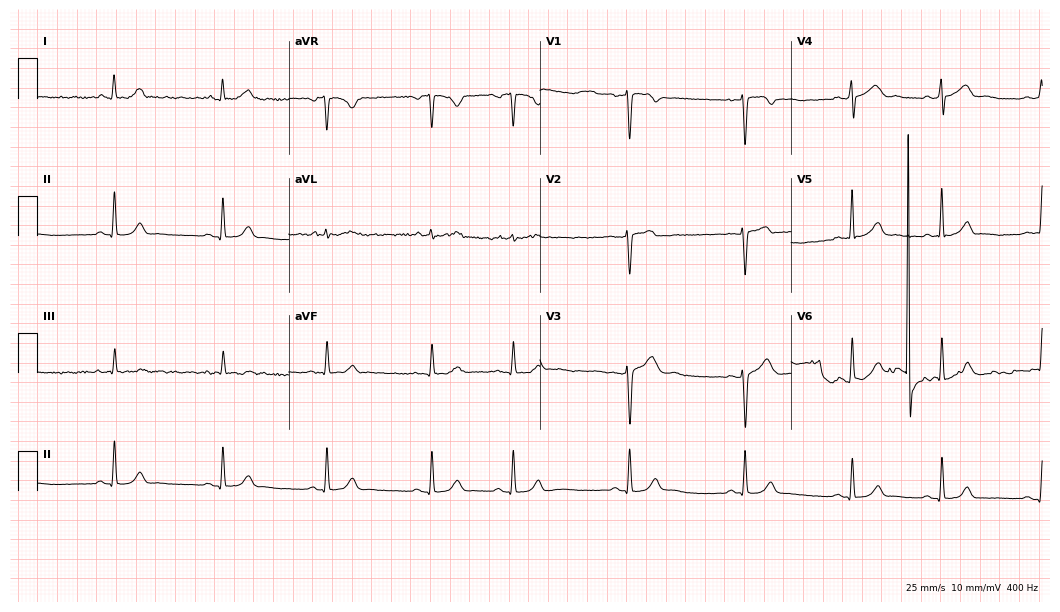
Electrocardiogram (10.2-second recording at 400 Hz), a 30-year-old woman. Of the six screened findings (first-degree AV block, right bundle branch block (RBBB), left bundle branch block (LBBB), sinus bradycardia, atrial fibrillation (AF), sinus tachycardia), none is recorded. Other findings, if any, are not listed.